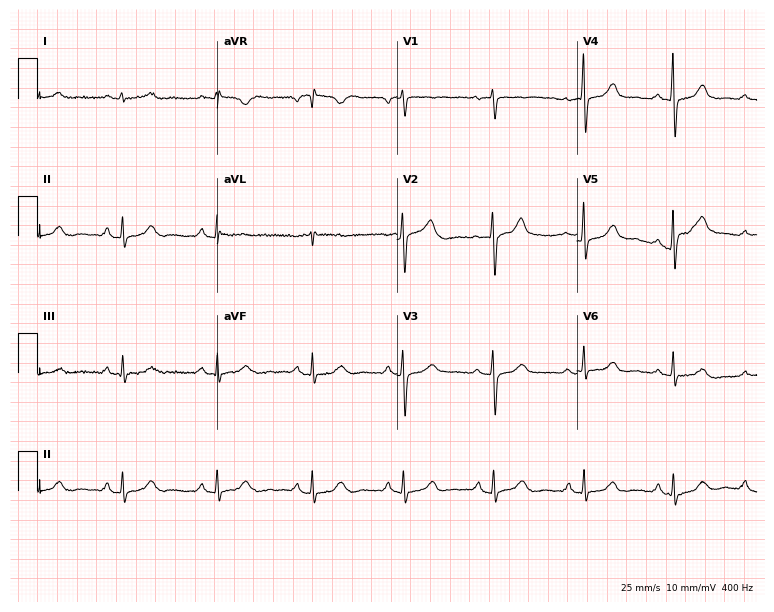
Standard 12-lead ECG recorded from a woman, 59 years old (7.3-second recording at 400 Hz). None of these six findings is recorded: first-degree AV block, right bundle branch block (RBBB), left bundle branch block (LBBB), sinus bradycardia, atrial fibrillation (AF), sinus tachycardia. Findings outside these six are not listed.